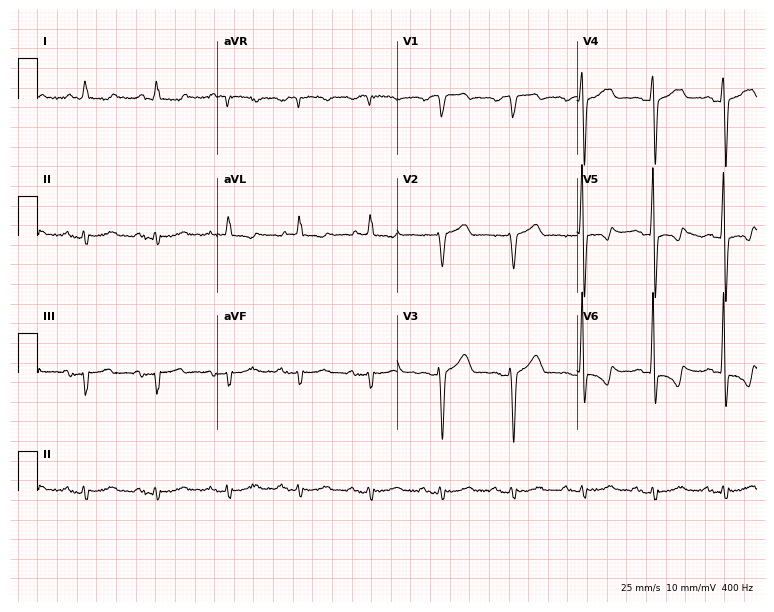
12-lead ECG from a male, 68 years old. Screened for six findings — first-degree AV block, right bundle branch block, left bundle branch block, sinus bradycardia, atrial fibrillation, sinus tachycardia — none is recorded.